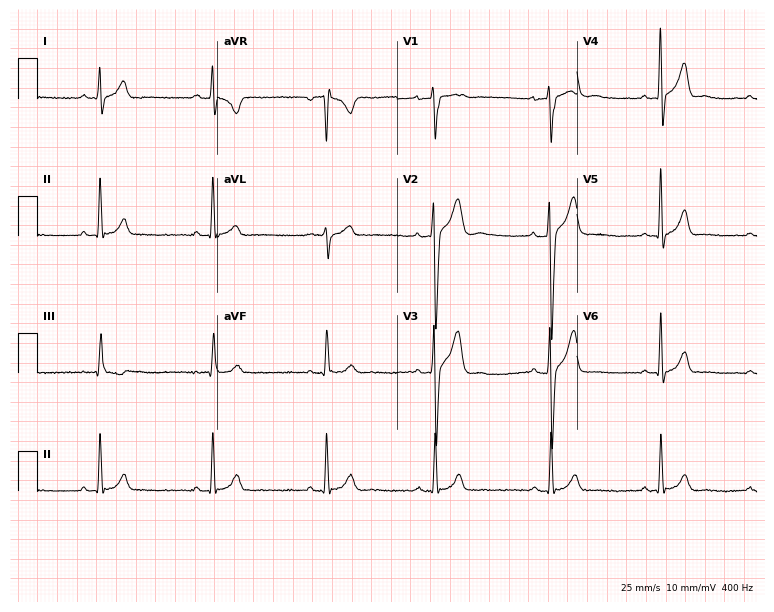
Resting 12-lead electrocardiogram (7.3-second recording at 400 Hz). Patient: a man, 24 years old. Read as a normal ECG.